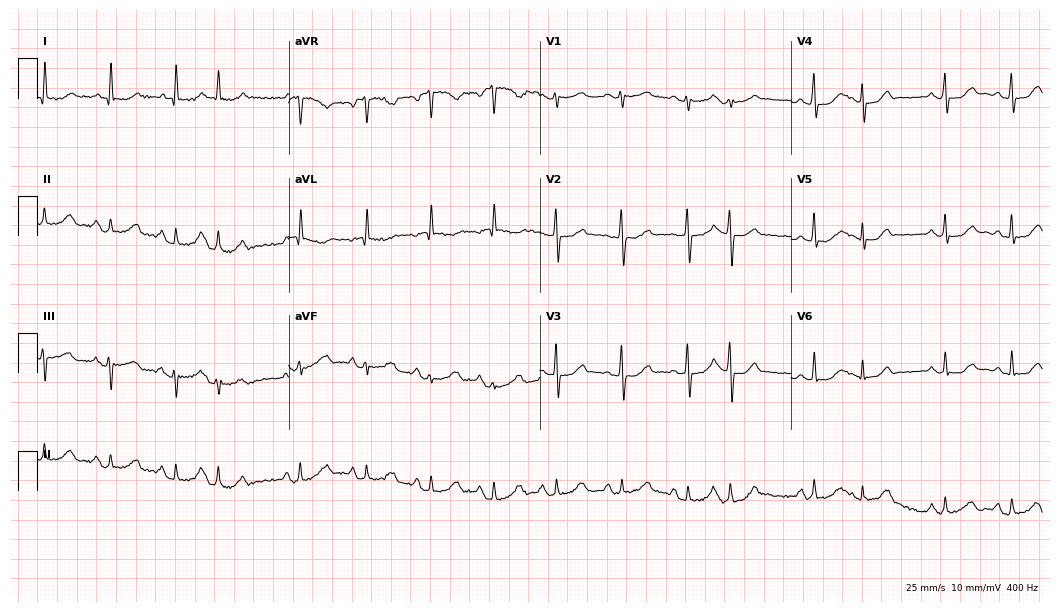
12-lead ECG from a woman, 76 years old. Screened for six findings — first-degree AV block, right bundle branch block, left bundle branch block, sinus bradycardia, atrial fibrillation, sinus tachycardia — none is recorded.